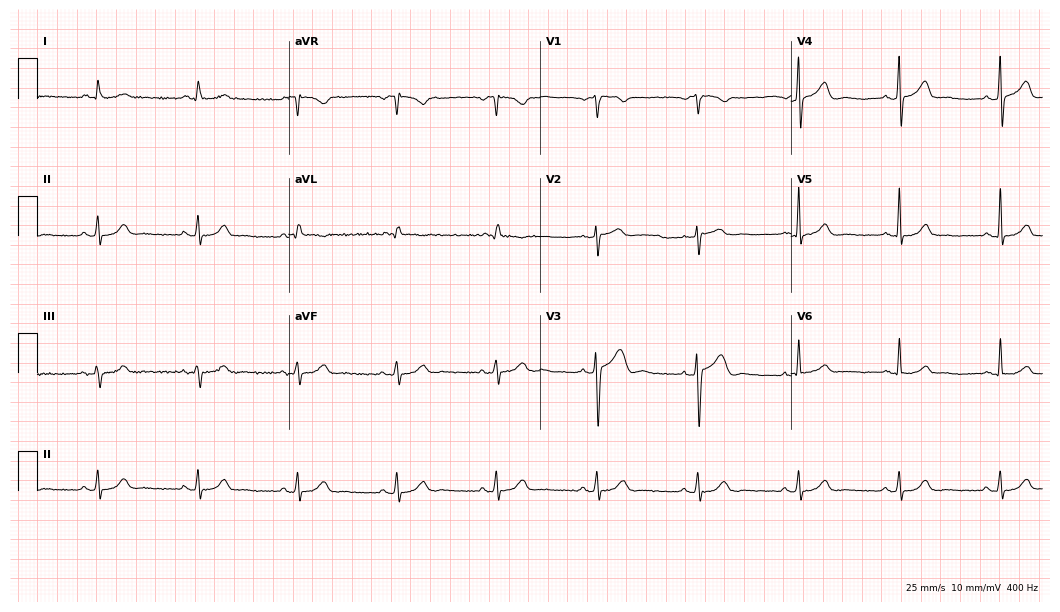
12-lead ECG (10.2-second recording at 400 Hz) from a 57-year-old man. Labelled as a normal ECG.